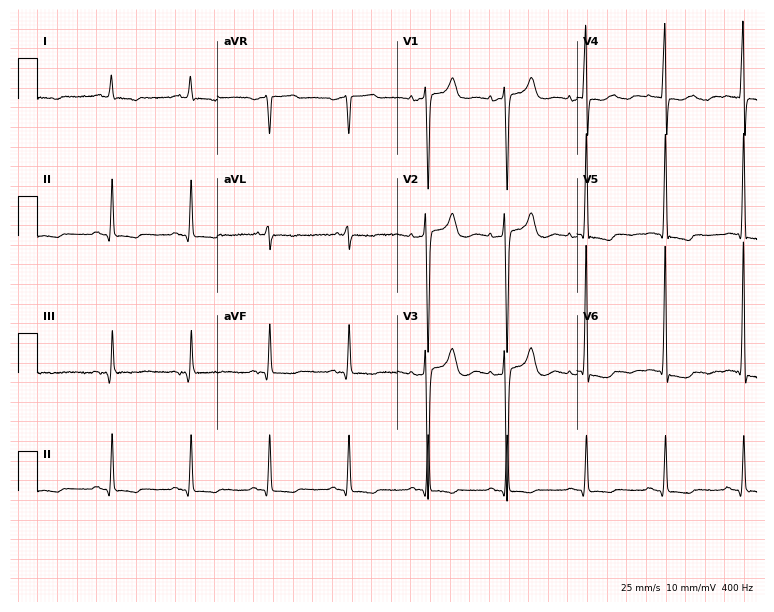
12-lead ECG from a male, 73 years old. No first-degree AV block, right bundle branch block (RBBB), left bundle branch block (LBBB), sinus bradycardia, atrial fibrillation (AF) or sinus tachycardia recorded for this tracing.